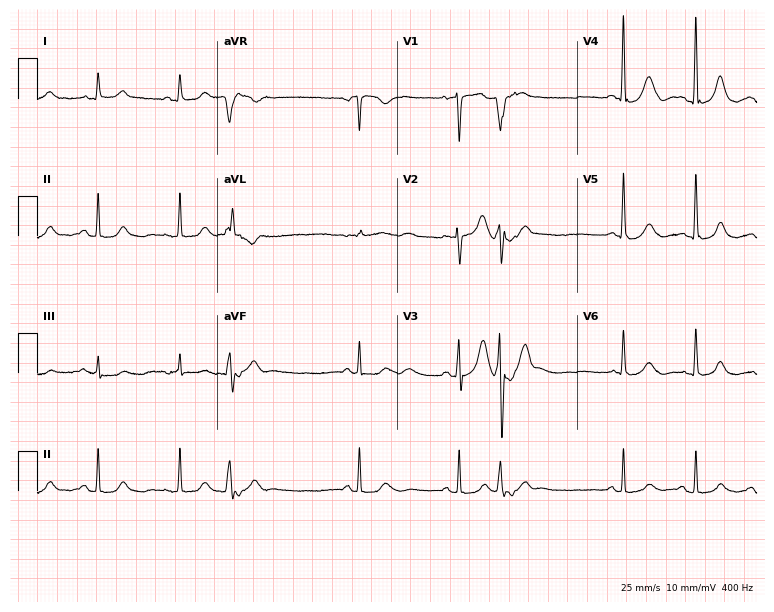
12-lead ECG from a 70-year-old male patient. Screened for six findings — first-degree AV block, right bundle branch block, left bundle branch block, sinus bradycardia, atrial fibrillation, sinus tachycardia — none is recorded.